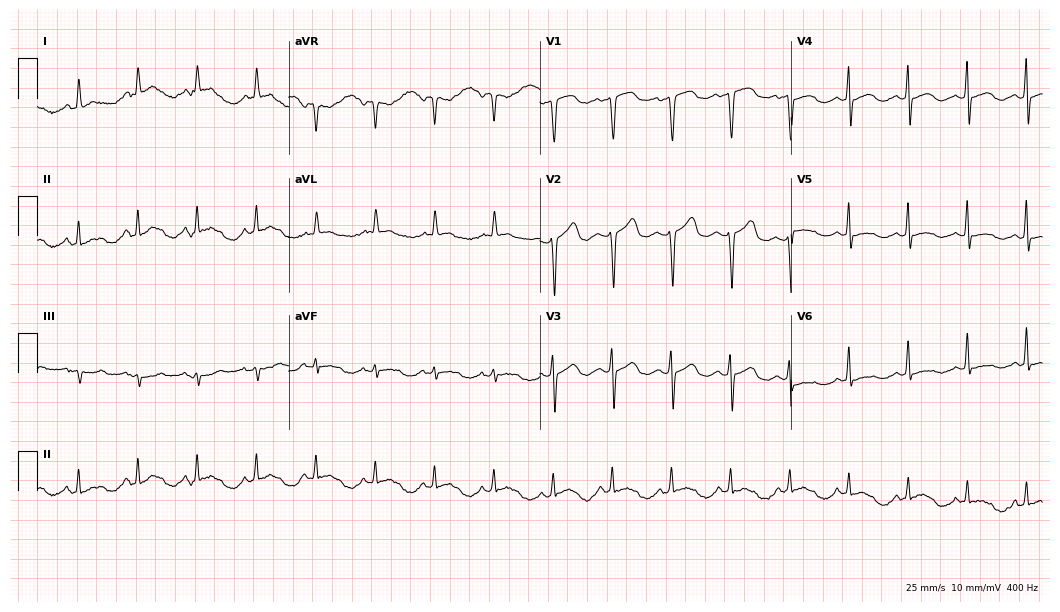
ECG (10.2-second recording at 400 Hz) — a 68-year-old woman. Screened for six findings — first-degree AV block, right bundle branch block (RBBB), left bundle branch block (LBBB), sinus bradycardia, atrial fibrillation (AF), sinus tachycardia — none is recorded. Findings outside these six are not listed.